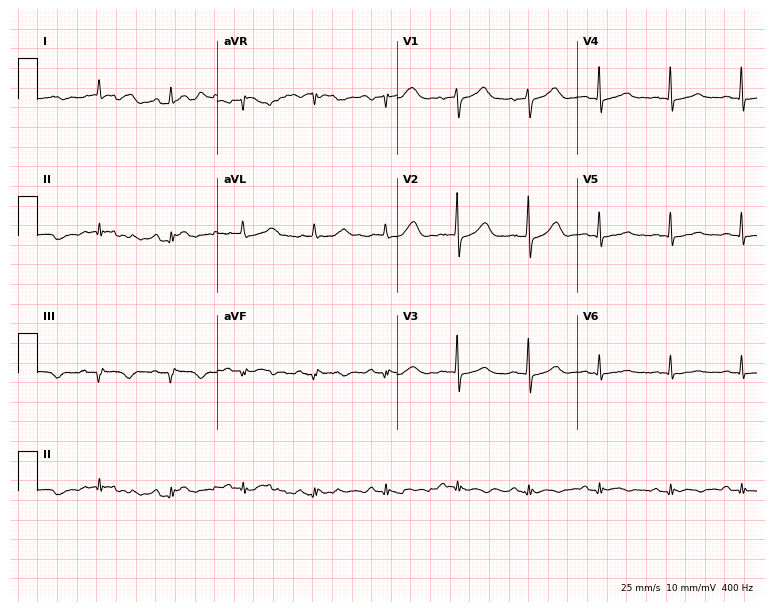
12-lead ECG from an 80-year-old male. No first-degree AV block, right bundle branch block, left bundle branch block, sinus bradycardia, atrial fibrillation or sinus tachycardia recorded for this tracing. Findings outside these six are not listed.